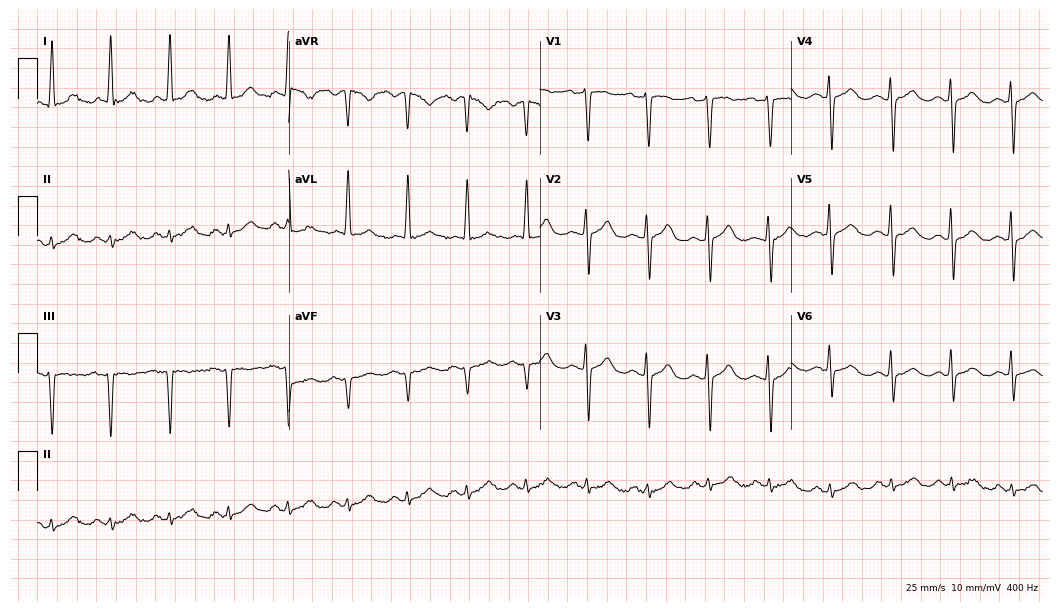
12-lead ECG from a 79-year-old woman. Recorded interpretation: within normal limits.